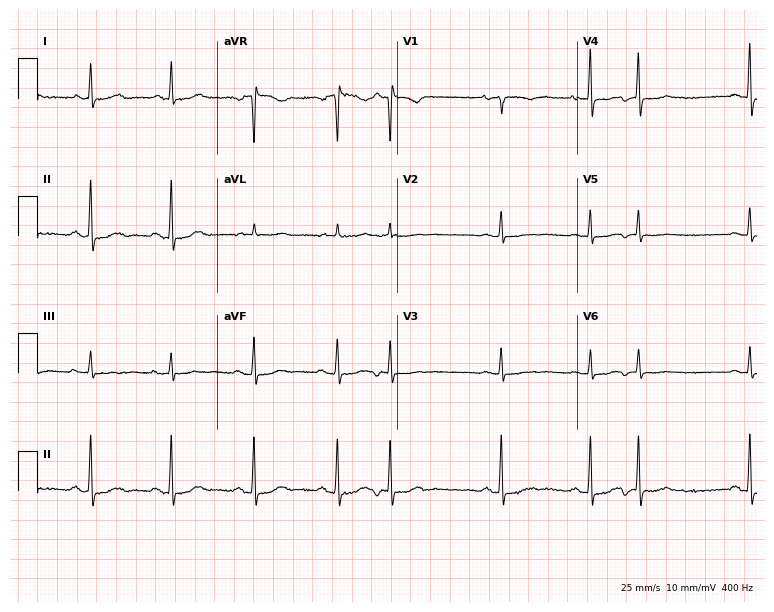
12-lead ECG from a female, 81 years old. No first-degree AV block, right bundle branch block (RBBB), left bundle branch block (LBBB), sinus bradycardia, atrial fibrillation (AF) or sinus tachycardia recorded for this tracing.